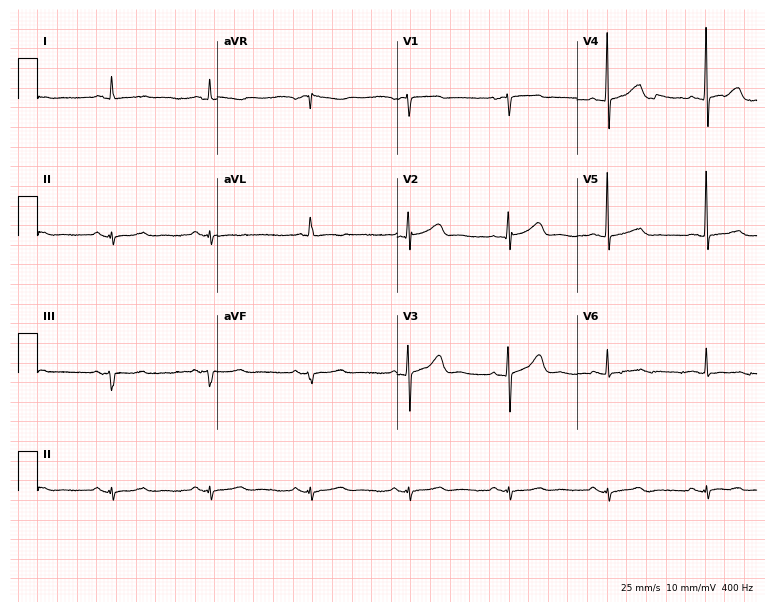
Electrocardiogram (7.3-second recording at 400 Hz), a male, 76 years old. Of the six screened findings (first-degree AV block, right bundle branch block, left bundle branch block, sinus bradycardia, atrial fibrillation, sinus tachycardia), none is recorded. Other findings, if any, are not listed.